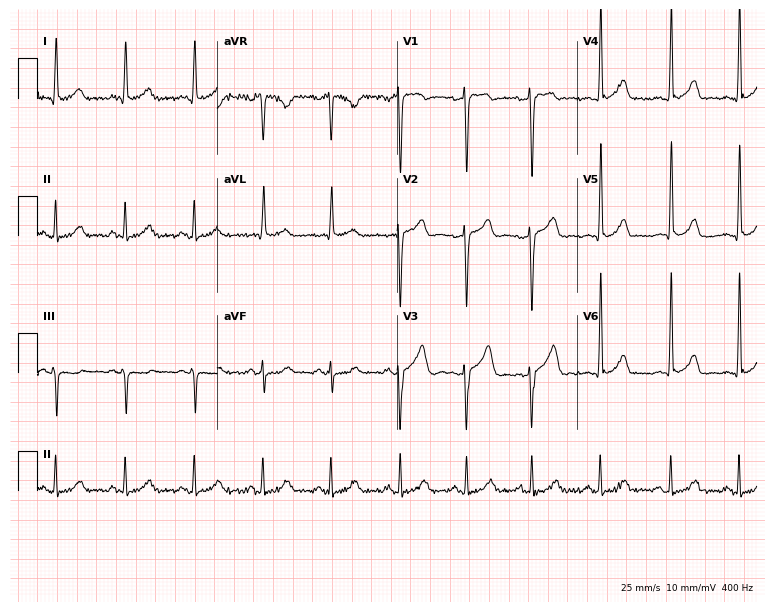
12-lead ECG from a 49-year-old male patient. Labelled as a normal ECG.